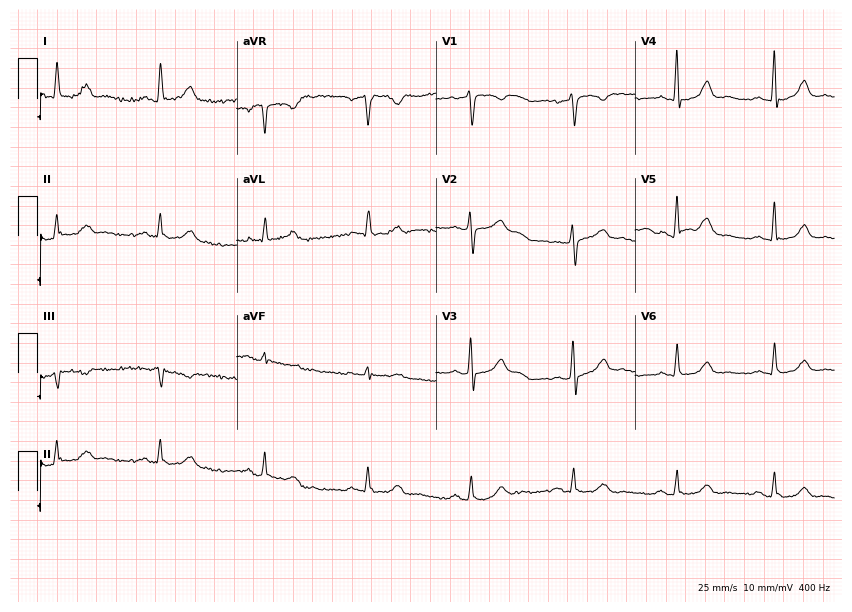
Resting 12-lead electrocardiogram (8.1-second recording at 400 Hz). Patient: a 45-year-old female. Read as a normal ECG.